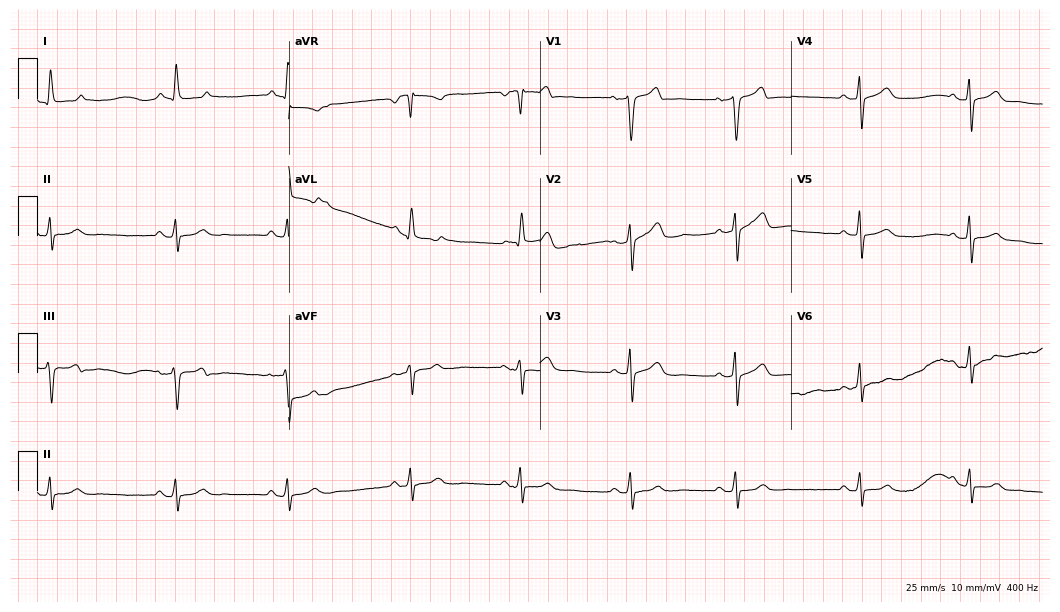
Standard 12-lead ECG recorded from a 67-year-old man (10.2-second recording at 400 Hz). Read as a normal ECG.